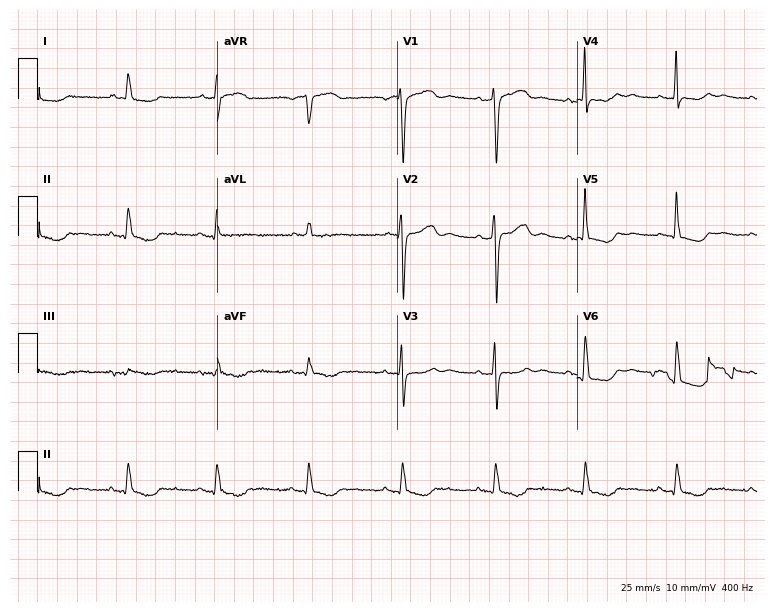
12-lead ECG (7.3-second recording at 400 Hz) from a female, 74 years old. Screened for six findings — first-degree AV block, right bundle branch block, left bundle branch block, sinus bradycardia, atrial fibrillation, sinus tachycardia — none is recorded. Other findings, if any, are not listed.